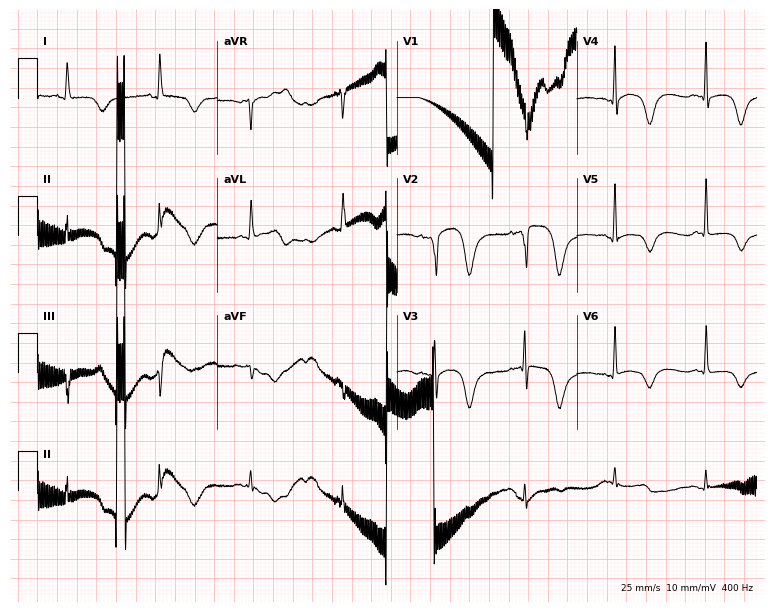
12-lead ECG (7.3-second recording at 400 Hz) from a female patient, 80 years old. Screened for six findings — first-degree AV block, right bundle branch block (RBBB), left bundle branch block (LBBB), sinus bradycardia, atrial fibrillation (AF), sinus tachycardia — none is recorded. Other findings, if any, are not listed.